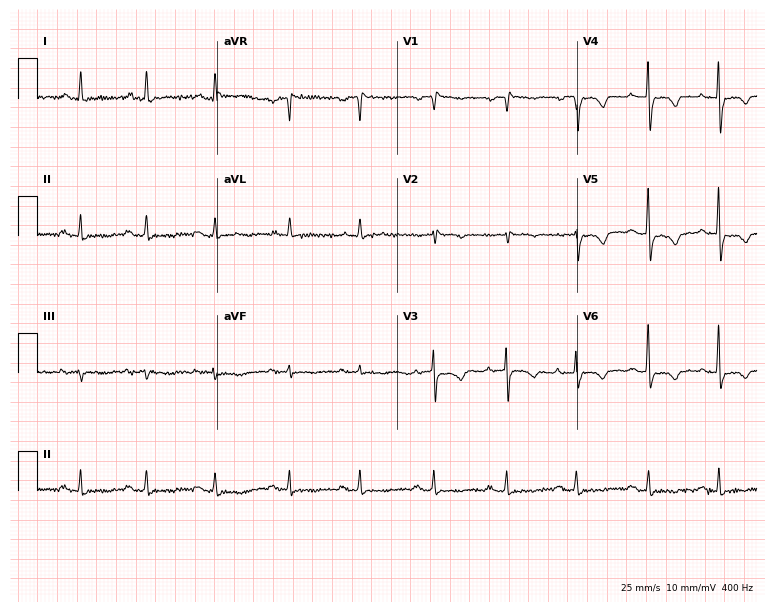
Standard 12-lead ECG recorded from a female, 70 years old (7.3-second recording at 400 Hz). None of these six findings is recorded: first-degree AV block, right bundle branch block, left bundle branch block, sinus bradycardia, atrial fibrillation, sinus tachycardia.